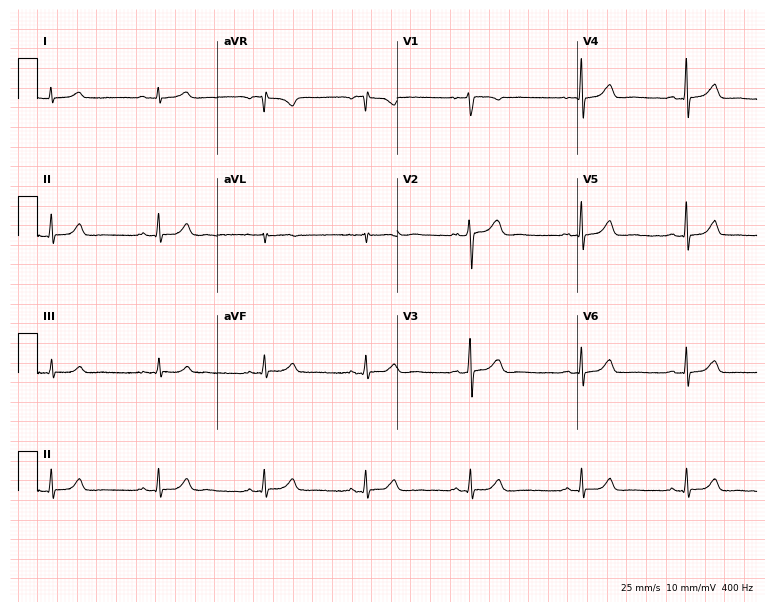
ECG (7.3-second recording at 400 Hz) — a female patient, 53 years old. Screened for six findings — first-degree AV block, right bundle branch block, left bundle branch block, sinus bradycardia, atrial fibrillation, sinus tachycardia — none is recorded. Only these six findings were labelled.